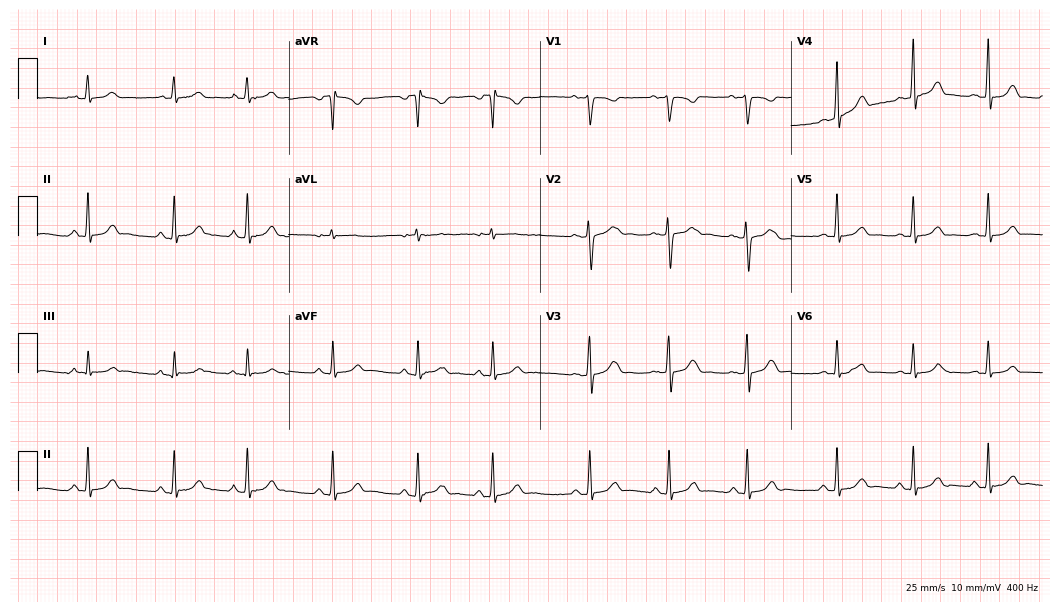
12-lead ECG from a 20-year-old female patient. Screened for six findings — first-degree AV block, right bundle branch block (RBBB), left bundle branch block (LBBB), sinus bradycardia, atrial fibrillation (AF), sinus tachycardia — none is recorded. Other findings, if any, are not listed.